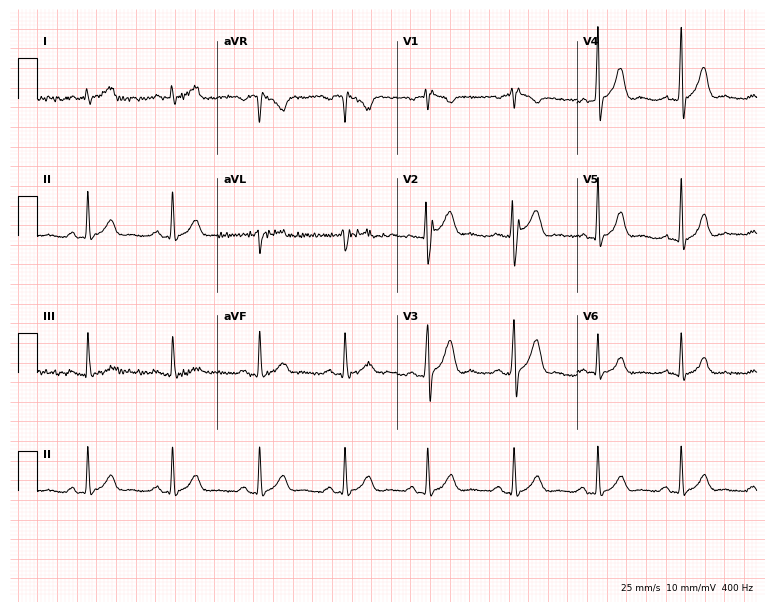
Standard 12-lead ECG recorded from a 43-year-old man (7.3-second recording at 400 Hz). Read as a normal ECG.